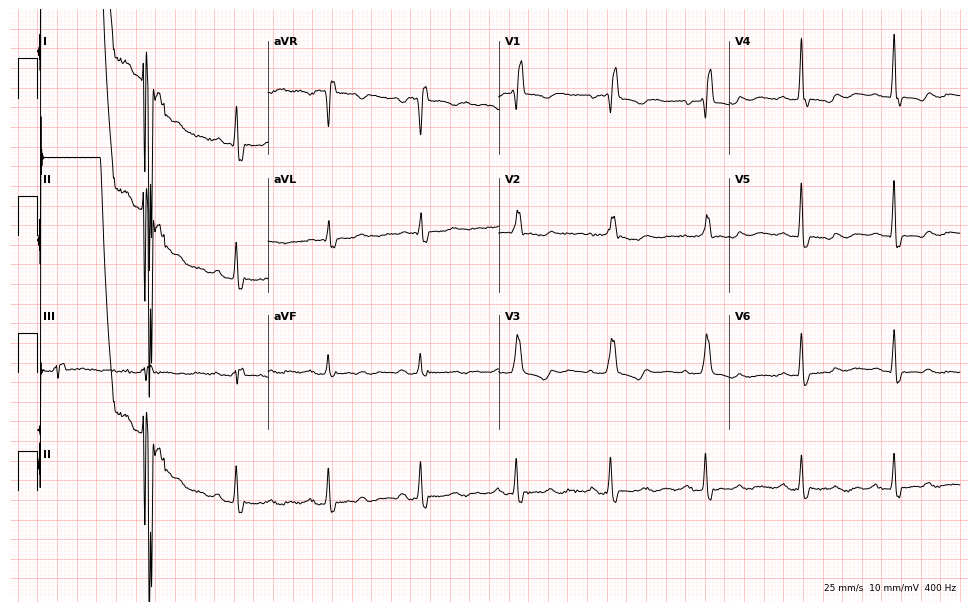
Resting 12-lead electrocardiogram. Patient: a 58-year-old female. None of these six findings is recorded: first-degree AV block, right bundle branch block, left bundle branch block, sinus bradycardia, atrial fibrillation, sinus tachycardia. Other findings, if any, are not listed.